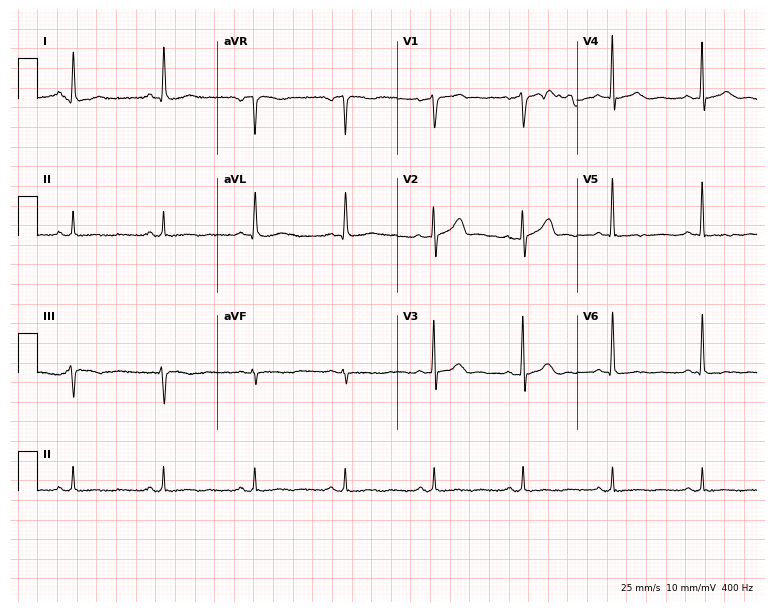
12-lead ECG from a 67-year-old male (7.3-second recording at 400 Hz). No first-degree AV block, right bundle branch block, left bundle branch block, sinus bradycardia, atrial fibrillation or sinus tachycardia recorded for this tracing. Only these six findings were labelled.